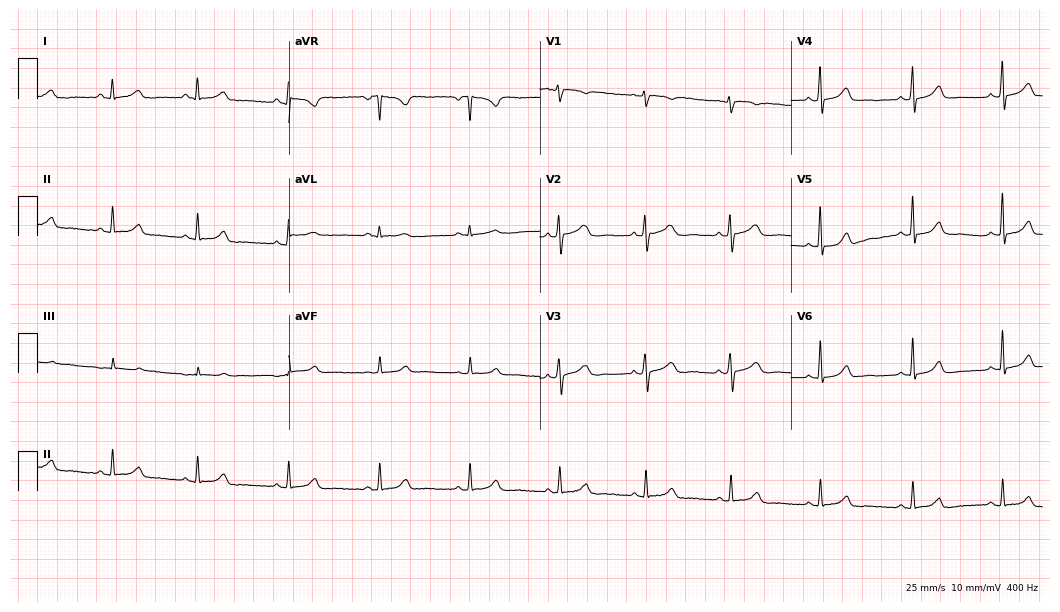
Electrocardiogram, a woman, 45 years old. Overall reading on record: normal ECG.